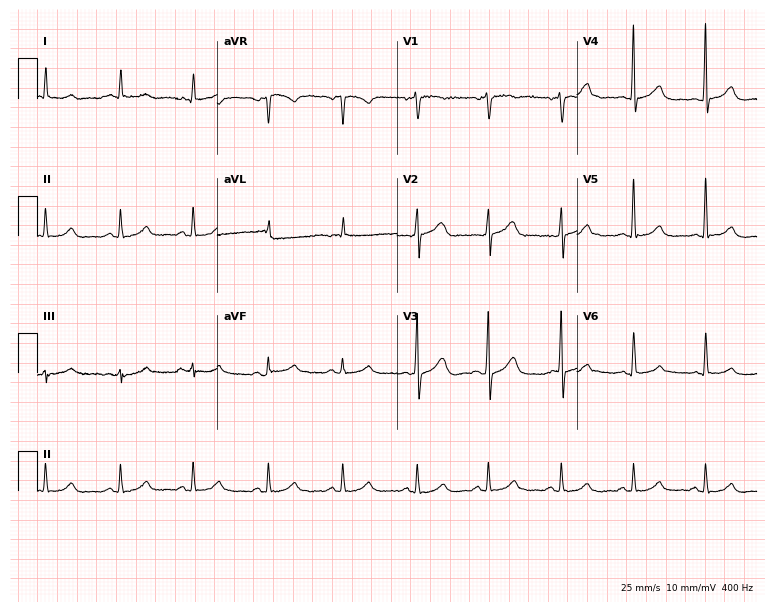
Electrocardiogram (7.3-second recording at 400 Hz), a male patient, 56 years old. Overall reading on record: normal ECG.